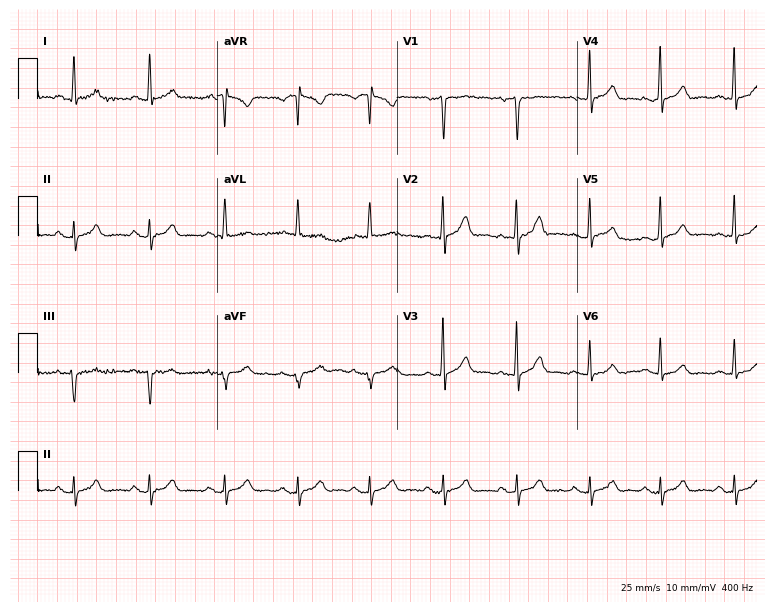
ECG — a 60-year-old male patient. Labelled as a normal ECG.